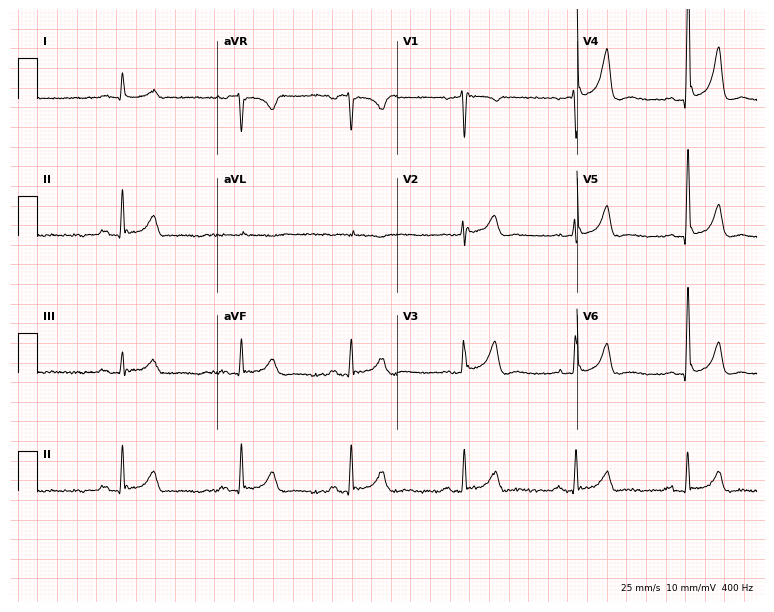
Resting 12-lead electrocardiogram. Patient: a male, 52 years old. None of these six findings is recorded: first-degree AV block, right bundle branch block (RBBB), left bundle branch block (LBBB), sinus bradycardia, atrial fibrillation (AF), sinus tachycardia.